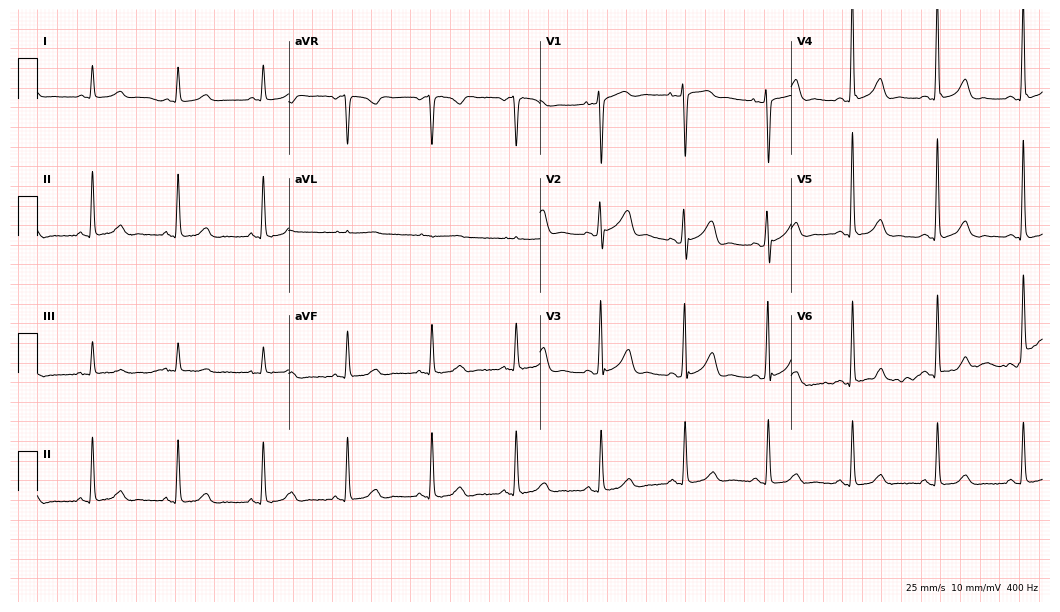
Standard 12-lead ECG recorded from a woman, 64 years old (10.2-second recording at 400 Hz). Read as a normal ECG.